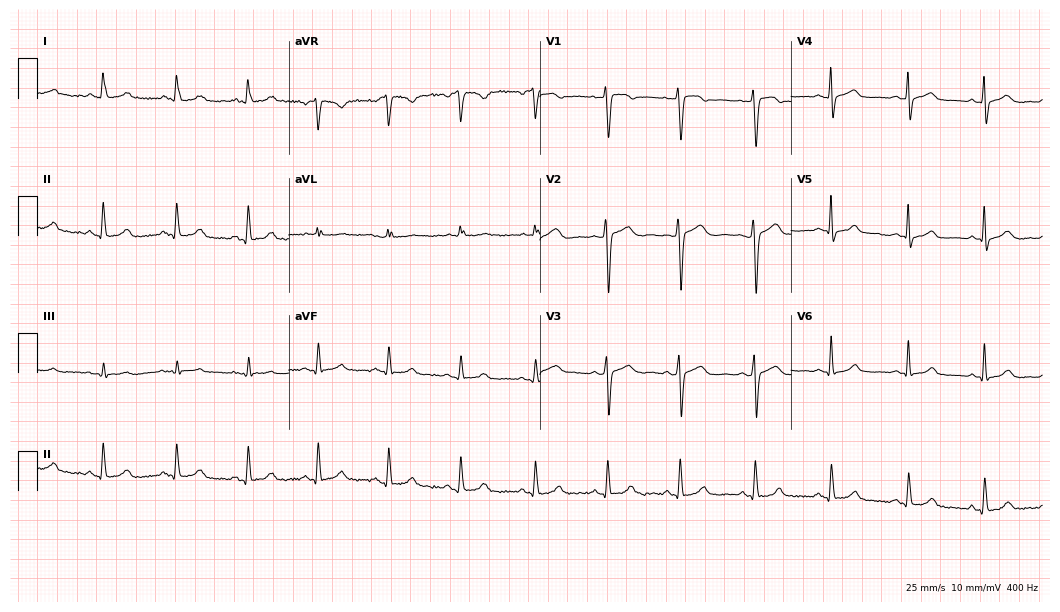
ECG — a female patient, 47 years old. Labelled as a normal ECG.